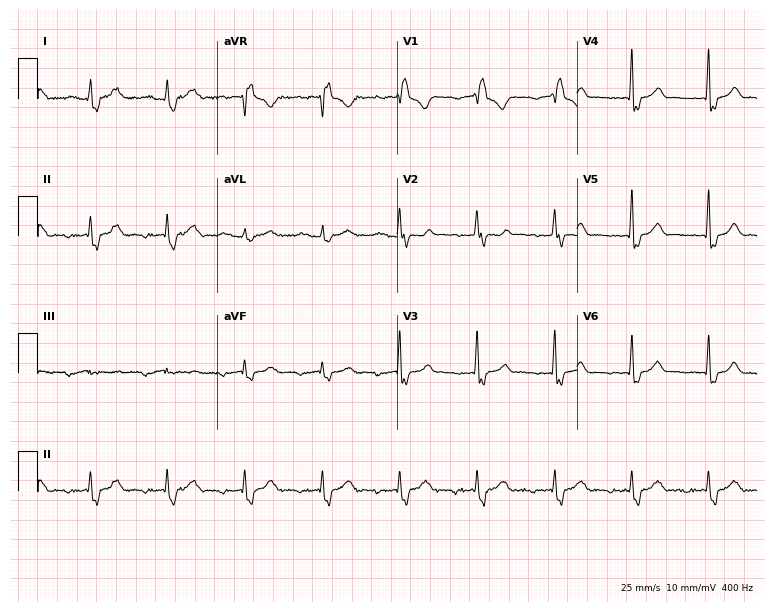
ECG — a 40-year-old female. Screened for six findings — first-degree AV block, right bundle branch block (RBBB), left bundle branch block (LBBB), sinus bradycardia, atrial fibrillation (AF), sinus tachycardia — none is recorded.